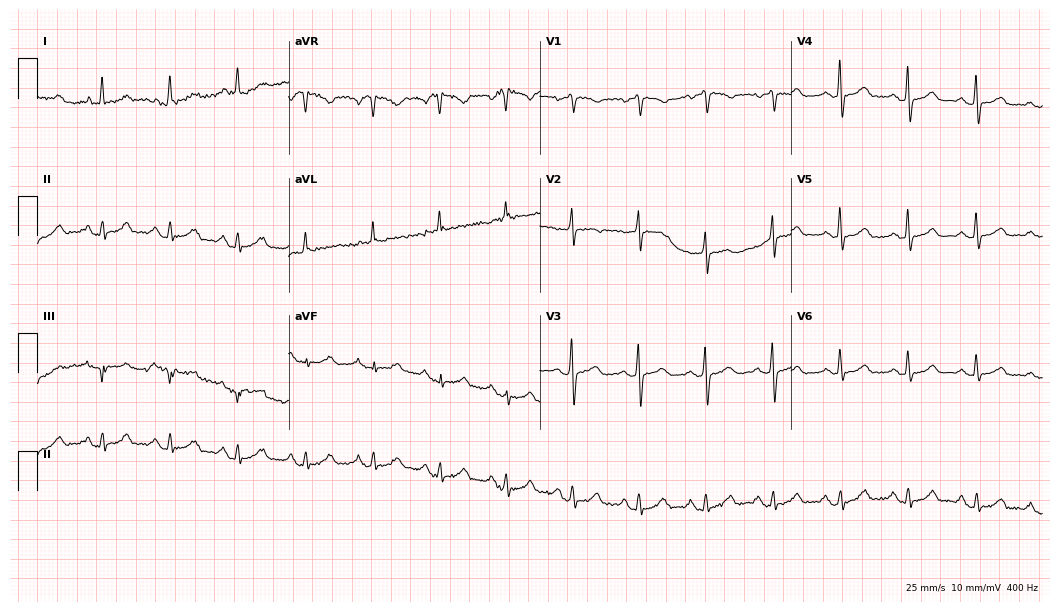
12-lead ECG from a female patient, 70 years old. Labelled as a normal ECG.